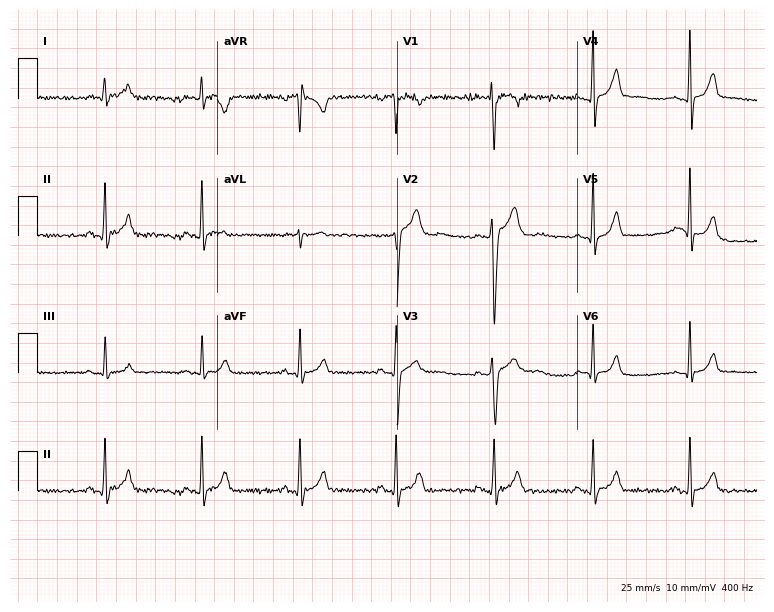
ECG (7.3-second recording at 400 Hz) — a male, 22 years old. Labelled as a normal ECG.